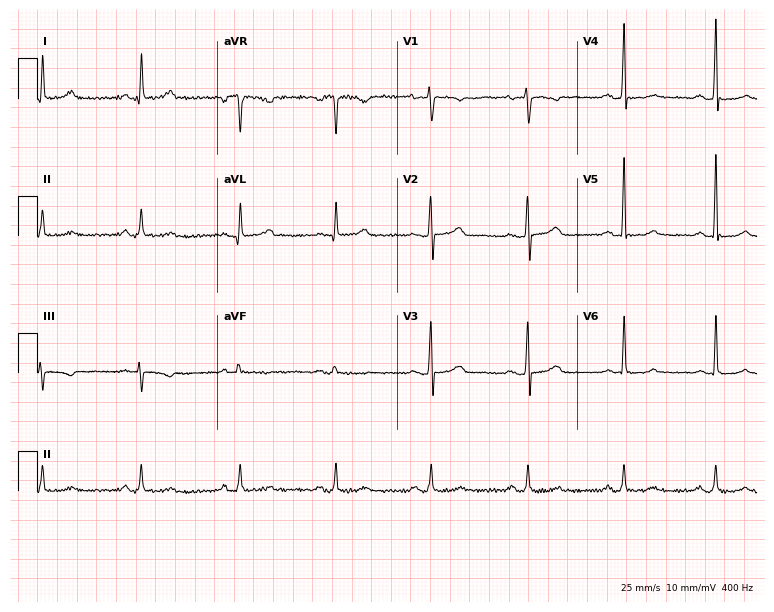
Electrocardiogram (7.3-second recording at 400 Hz), a female patient, 46 years old. Overall reading on record: normal ECG.